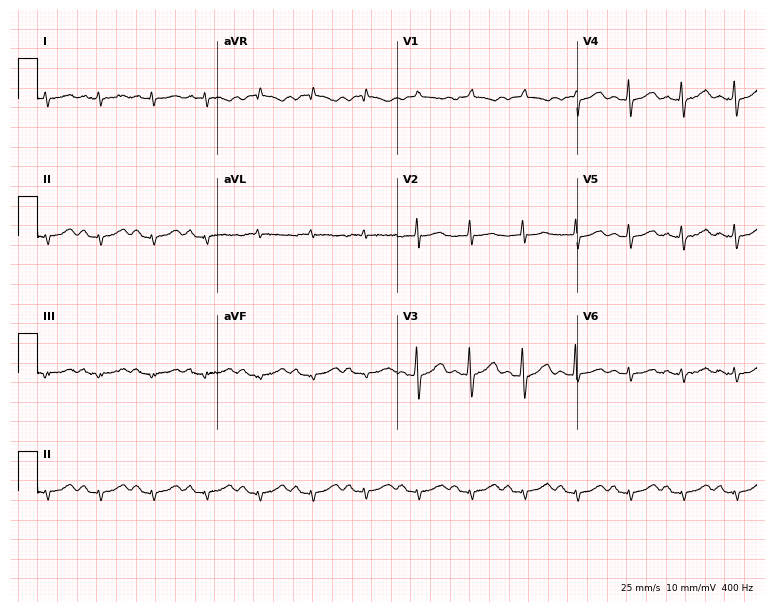
Resting 12-lead electrocardiogram (7.3-second recording at 400 Hz). Patient: a 77-year-old male. None of these six findings is recorded: first-degree AV block, right bundle branch block, left bundle branch block, sinus bradycardia, atrial fibrillation, sinus tachycardia.